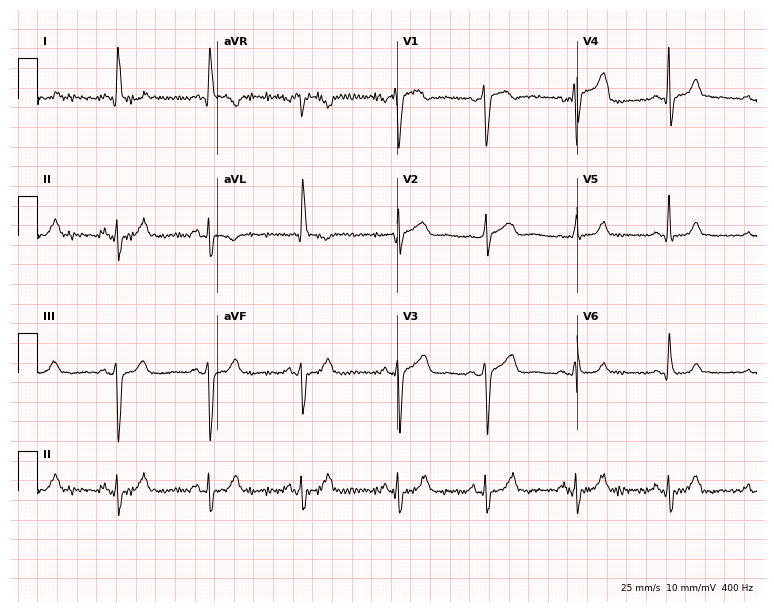
ECG — a 60-year-old woman. Screened for six findings — first-degree AV block, right bundle branch block (RBBB), left bundle branch block (LBBB), sinus bradycardia, atrial fibrillation (AF), sinus tachycardia — none is recorded. Only these six findings were labelled.